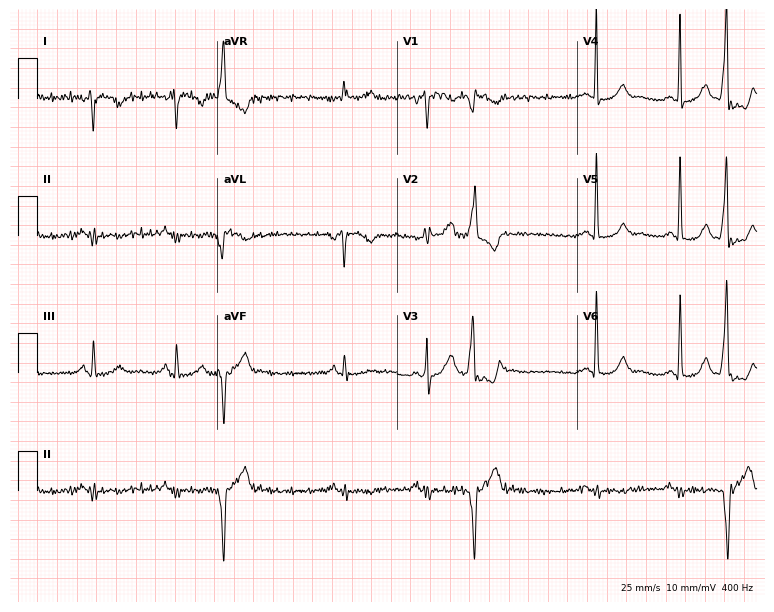
Resting 12-lead electrocardiogram (7.3-second recording at 400 Hz). Patient: a 51-year-old male. Read as a normal ECG.